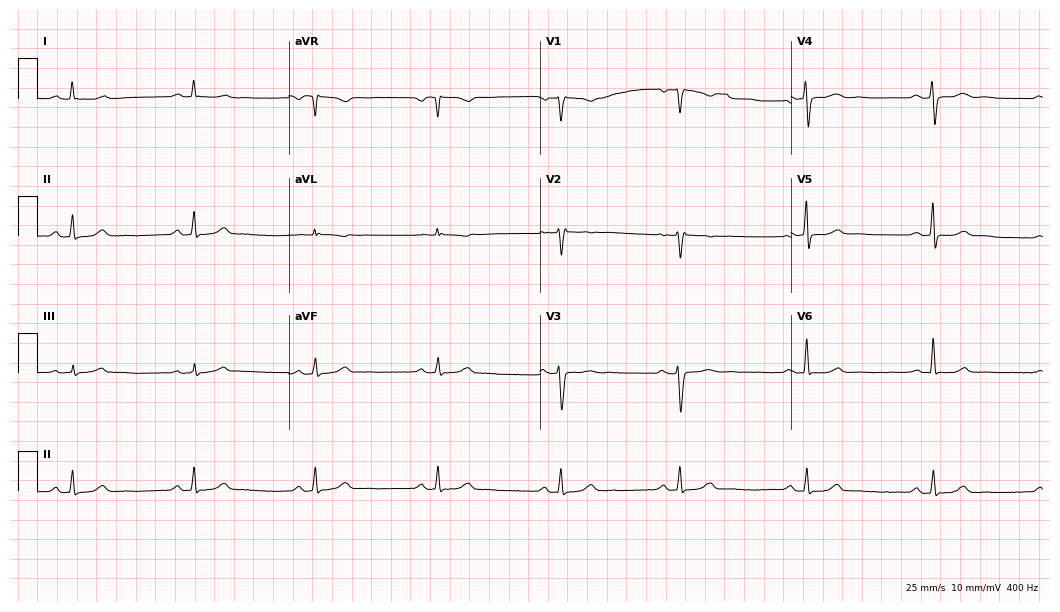
12-lead ECG from a female, 51 years old (10.2-second recording at 400 Hz). Shows sinus bradycardia (a sinus rate of 50 beats per minute or less).